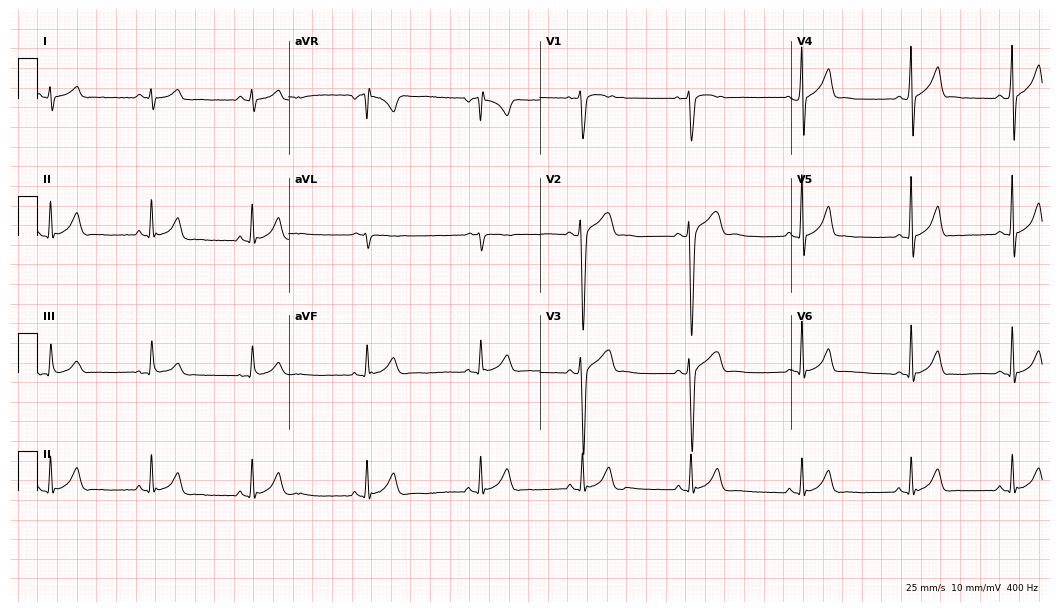
12-lead ECG from a man, 19 years old (10.2-second recording at 400 Hz). Recorded interpretation: within normal limits.